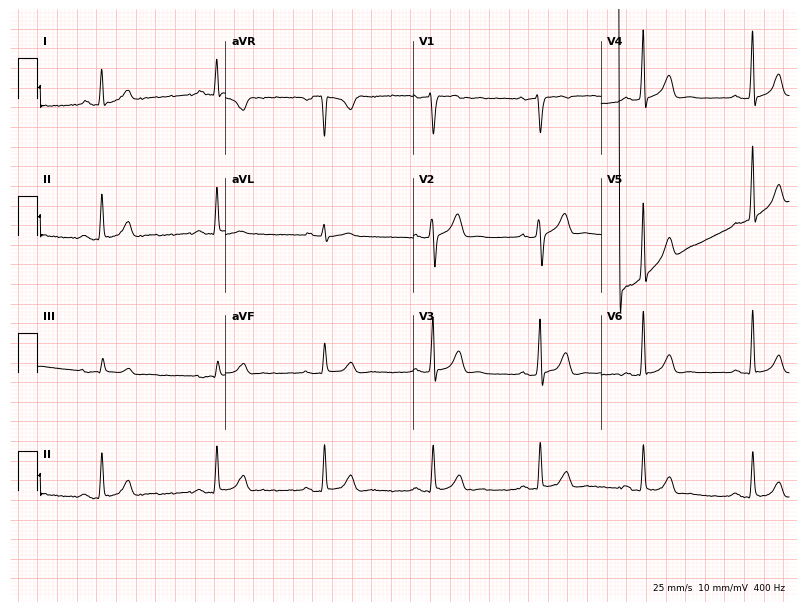
12-lead ECG from a 42-year-old male. Recorded interpretation: within normal limits.